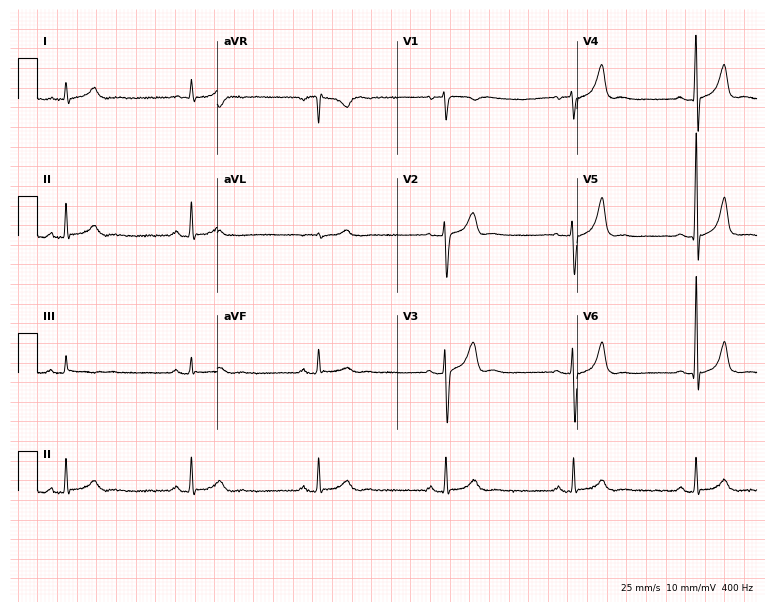
Electrocardiogram (7.3-second recording at 400 Hz), a 25-year-old male. Interpretation includes sinus bradycardia (a sinus rate of 50 beats per minute or less).